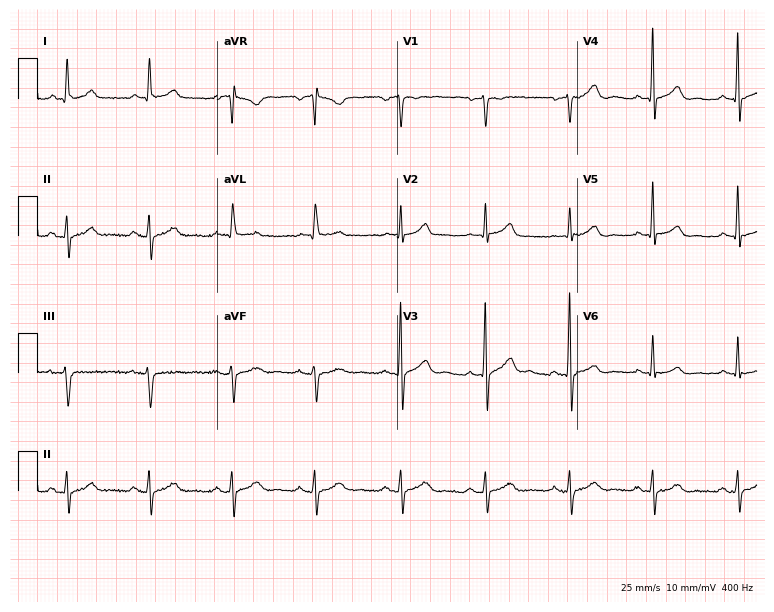
Standard 12-lead ECG recorded from a 60-year-old man (7.3-second recording at 400 Hz). None of these six findings is recorded: first-degree AV block, right bundle branch block, left bundle branch block, sinus bradycardia, atrial fibrillation, sinus tachycardia.